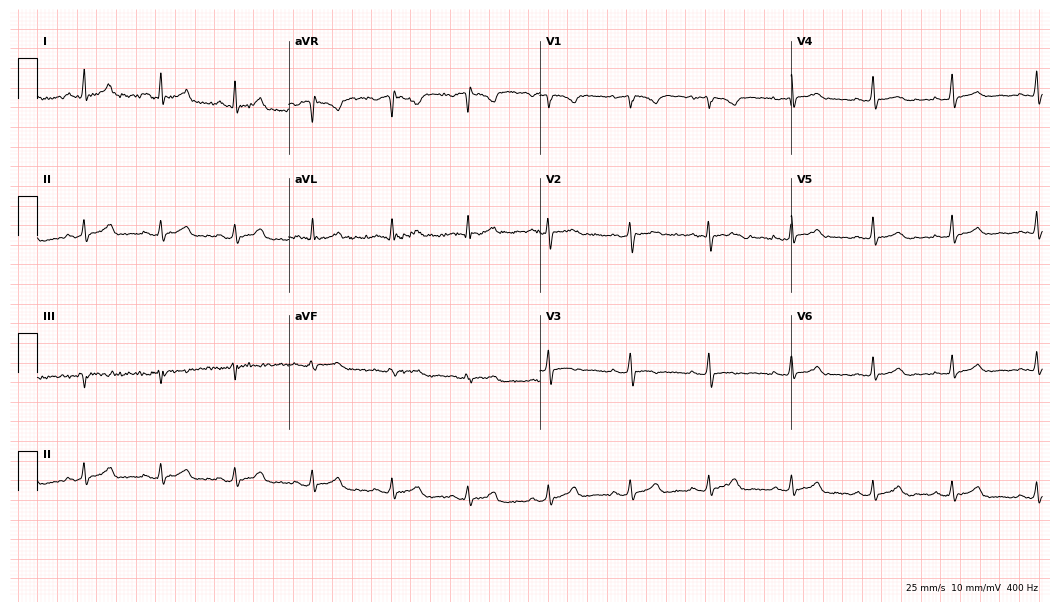
ECG — a female, 33 years old. Labelled as a normal ECG.